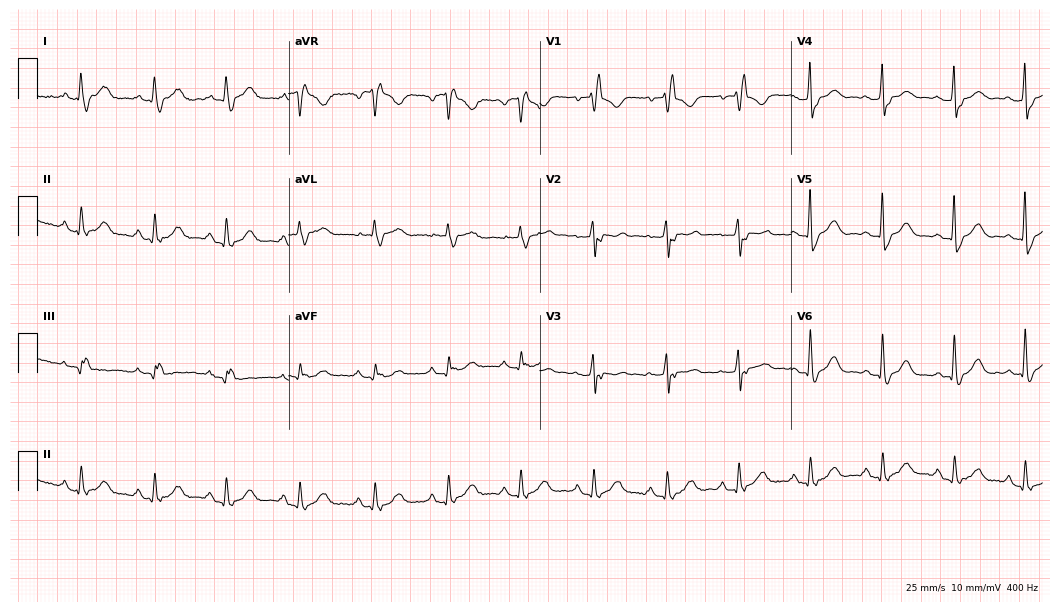
Electrocardiogram, a 60-year-old woman. Interpretation includes right bundle branch block.